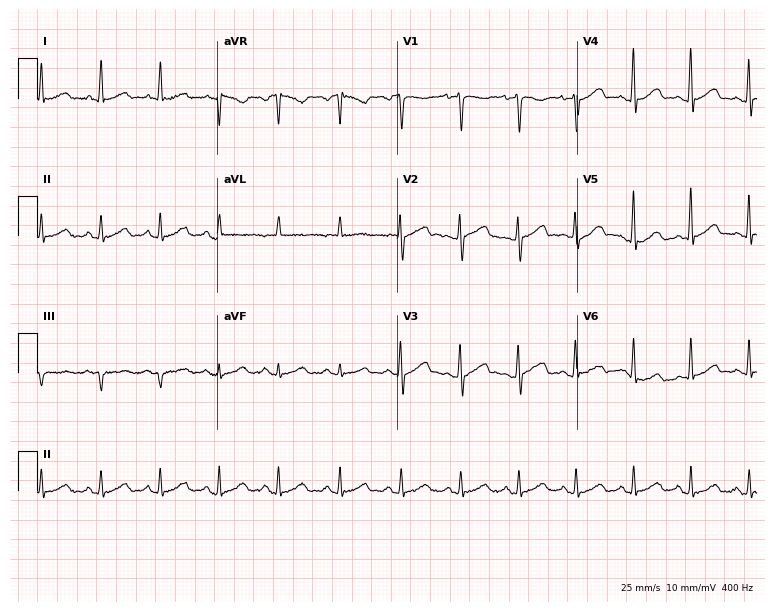
Electrocardiogram, a 48-year-old woman. Overall reading on record: normal ECG.